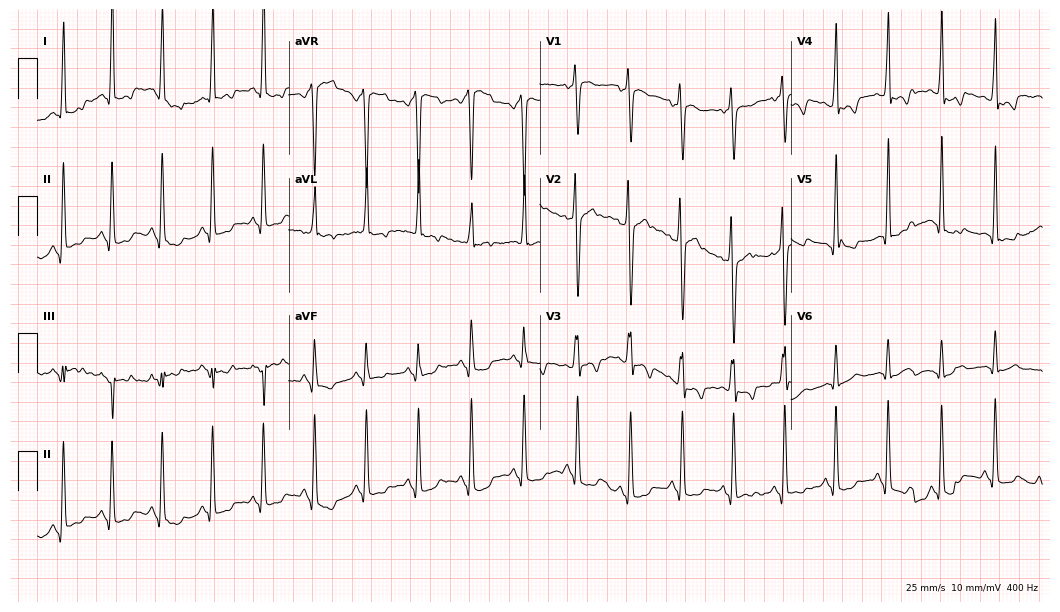
ECG — a male patient, 41 years old. Screened for six findings — first-degree AV block, right bundle branch block (RBBB), left bundle branch block (LBBB), sinus bradycardia, atrial fibrillation (AF), sinus tachycardia — none is recorded. Only these six findings were labelled.